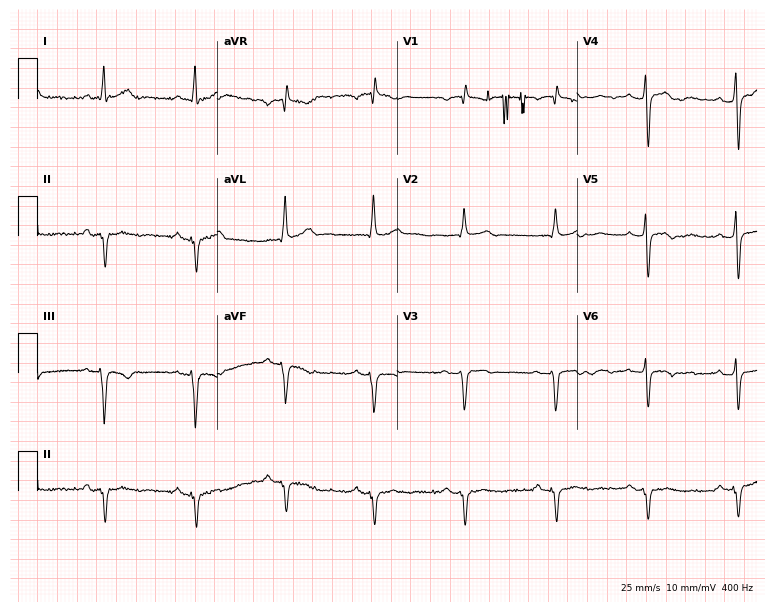
ECG — a male patient, 42 years old. Screened for six findings — first-degree AV block, right bundle branch block, left bundle branch block, sinus bradycardia, atrial fibrillation, sinus tachycardia — none is recorded.